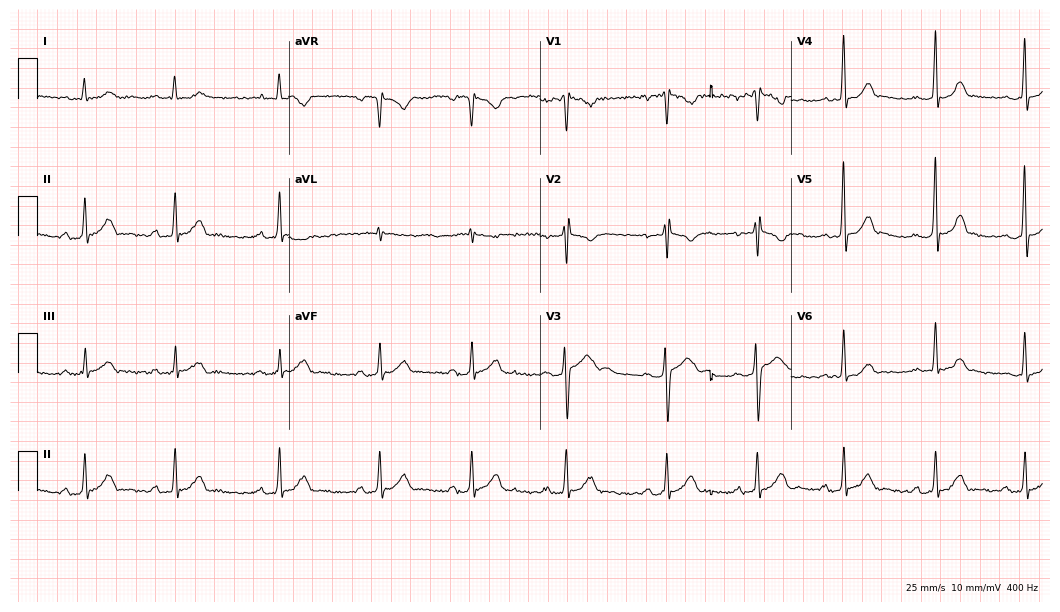
12-lead ECG from a 17-year-old male patient. Labelled as a normal ECG.